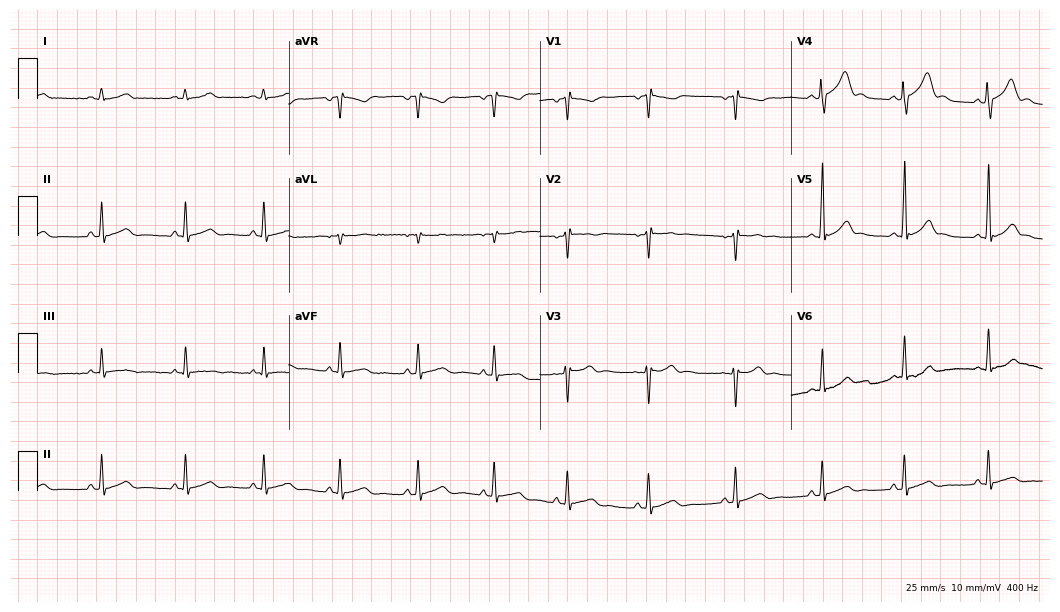
12-lead ECG from an 18-year-old man. Recorded interpretation: within normal limits.